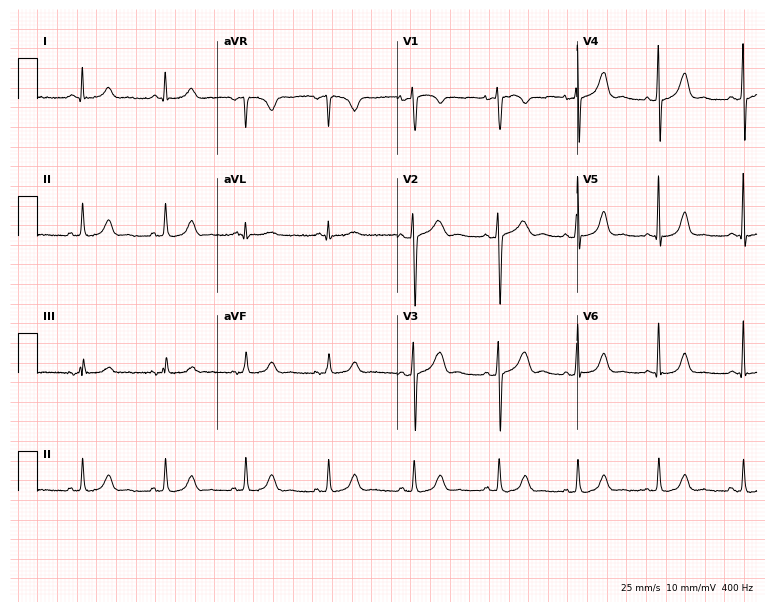
Standard 12-lead ECG recorded from a woman, 44 years old (7.3-second recording at 400 Hz). None of these six findings is recorded: first-degree AV block, right bundle branch block, left bundle branch block, sinus bradycardia, atrial fibrillation, sinus tachycardia. Only these six findings were labelled.